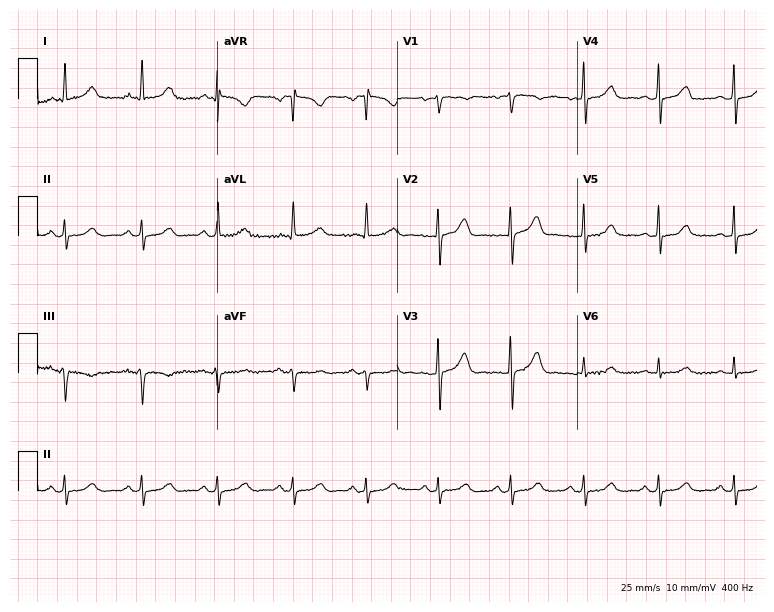
12-lead ECG from a woman, 48 years old (7.3-second recording at 400 Hz). No first-degree AV block, right bundle branch block, left bundle branch block, sinus bradycardia, atrial fibrillation or sinus tachycardia recorded for this tracing.